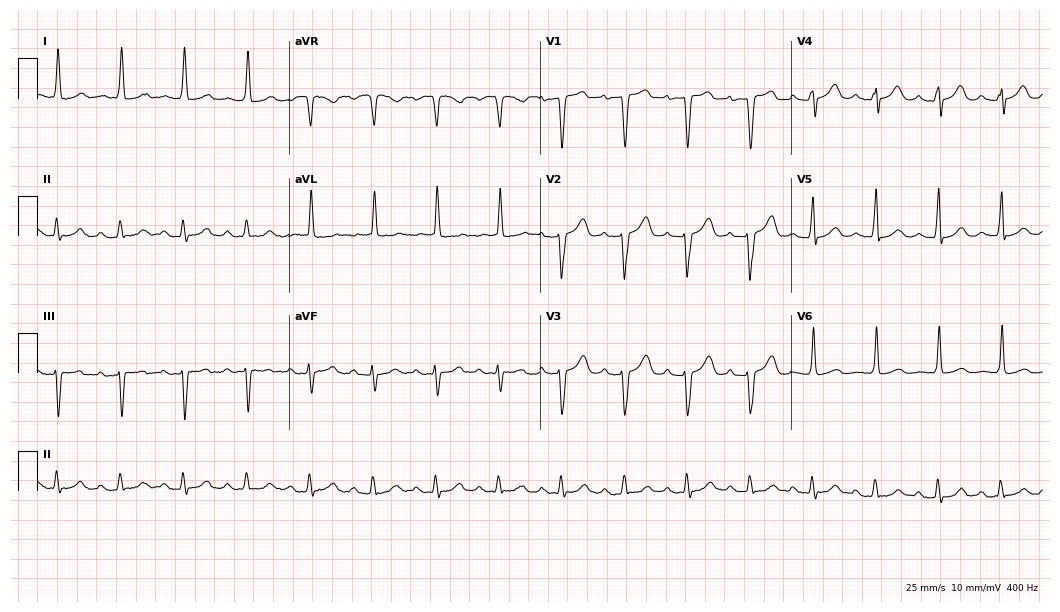
ECG — an 83-year-old female. Findings include first-degree AV block.